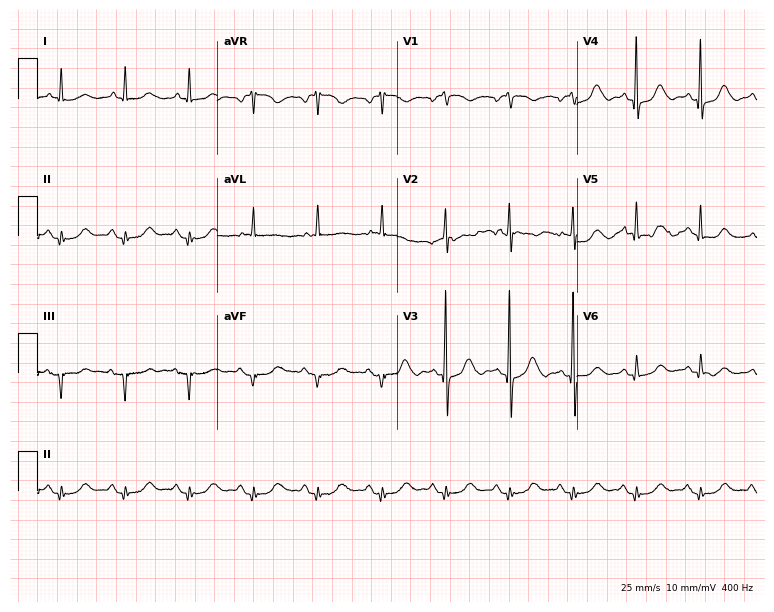
Resting 12-lead electrocardiogram. Patient: a female, 22 years old. Read as a normal ECG.